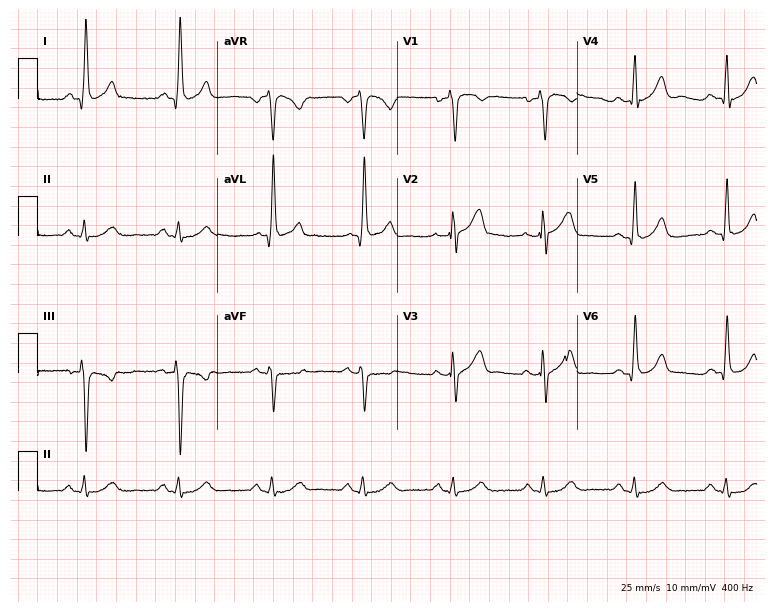
Resting 12-lead electrocardiogram (7.3-second recording at 400 Hz). Patient: a male, 45 years old. None of these six findings is recorded: first-degree AV block, right bundle branch block, left bundle branch block, sinus bradycardia, atrial fibrillation, sinus tachycardia.